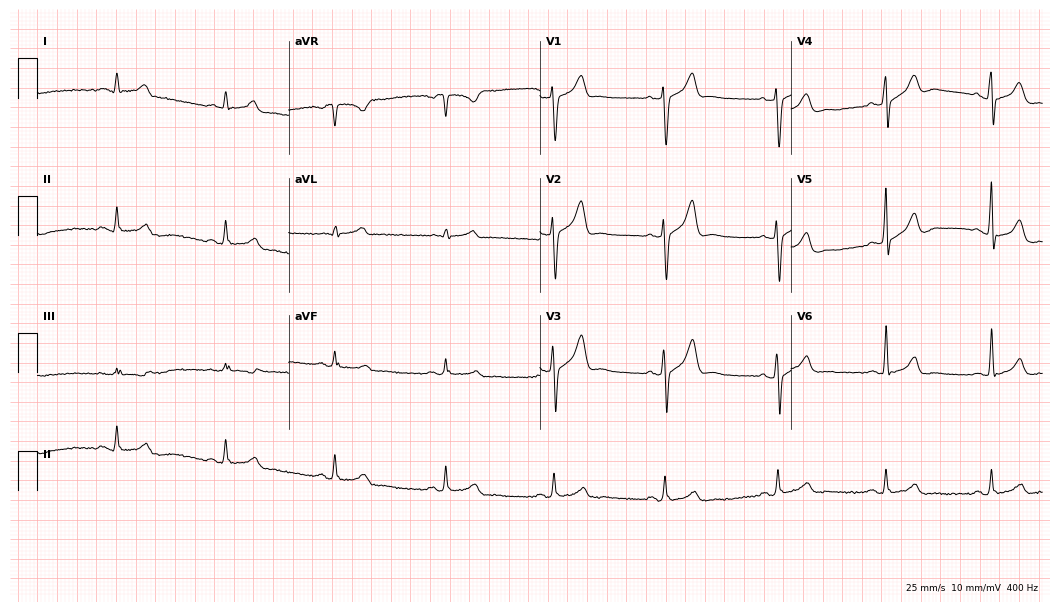
Standard 12-lead ECG recorded from a male, 51 years old (10.2-second recording at 400 Hz). Read as a normal ECG.